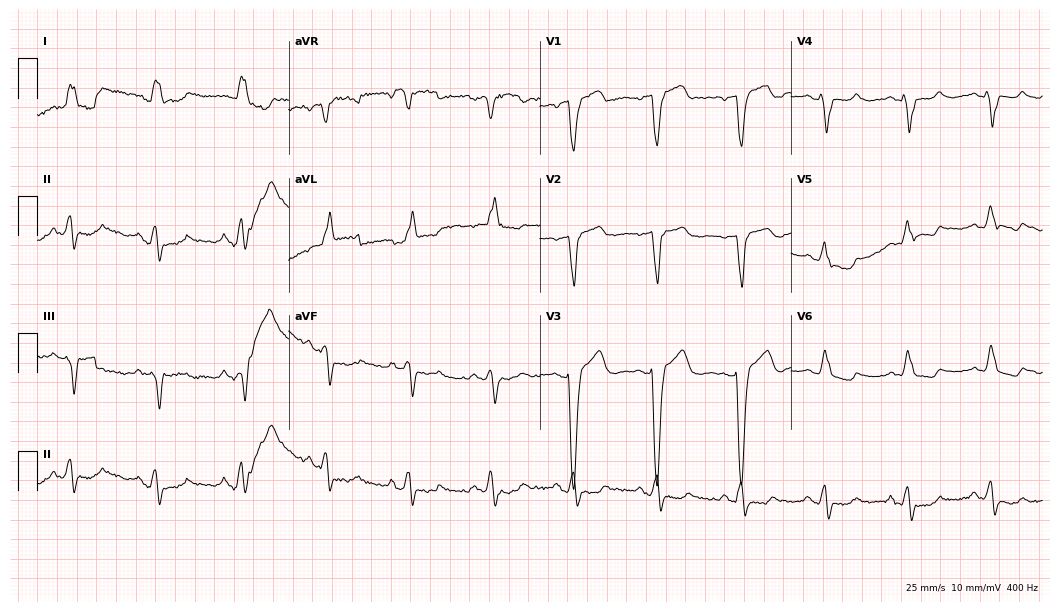
Resting 12-lead electrocardiogram. Patient: a female, 83 years old. The tracing shows left bundle branch block.